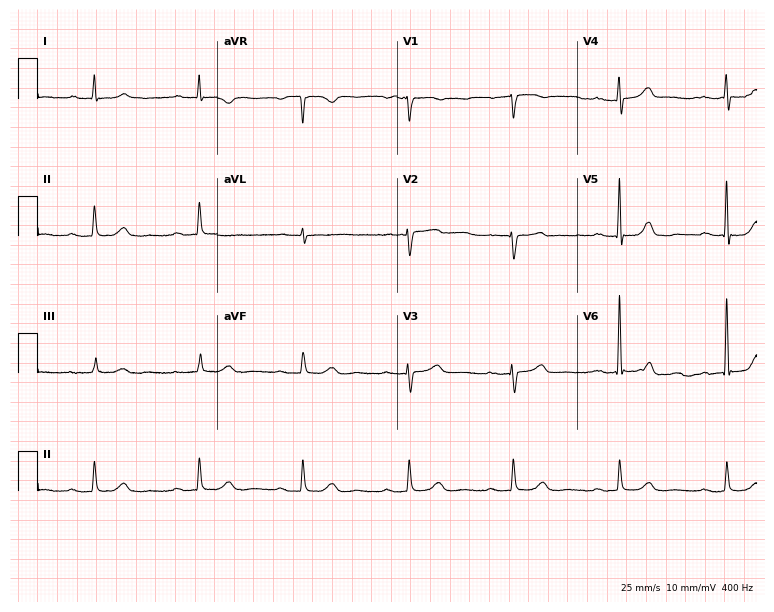
12-lead ECG (7.3-second recording at 400 Hz) from an 81-year-old female. Findings include first-degree AV block.